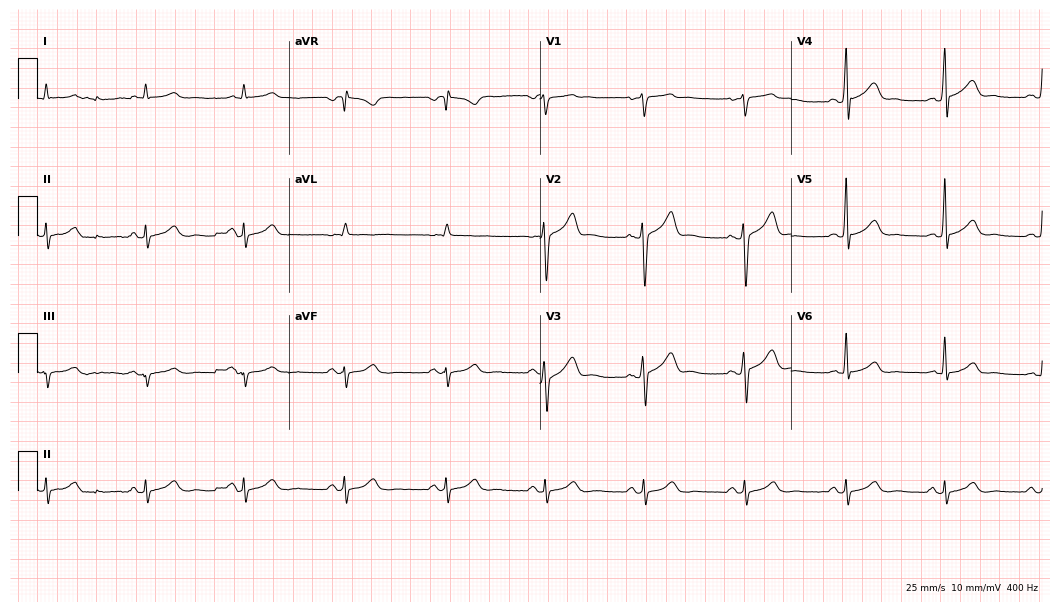
Standard 12-lead ECG recorded from a 60-year-old man. None of these six findings is recorded: first-degree AV block, right bundle branch block, left bundle branch block, sinus bradycardia, atrial fibrillation, sinus tachycardia. Other findings, if any, are not listed.